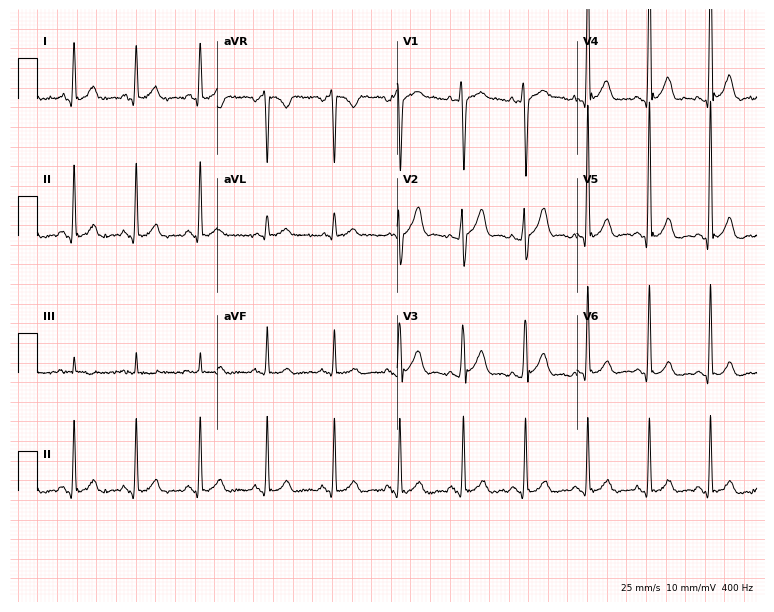
12-lead ECG from a 28-year-old male patient. Screened for six findings — first-degree AV block, right bundle branch block, left bundle branch block, sinus bradycardia, atrial fibrillation, sinus tachycardia — none is recorded.